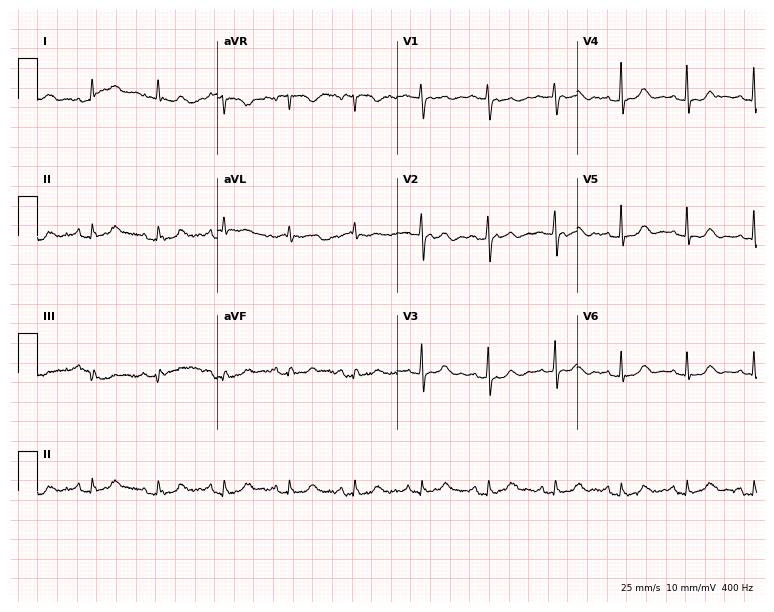
Standard 12-lead ECG recorded from a 71-year-old female (7.3-second recording at 400 Hz). Read as a normal ECG.